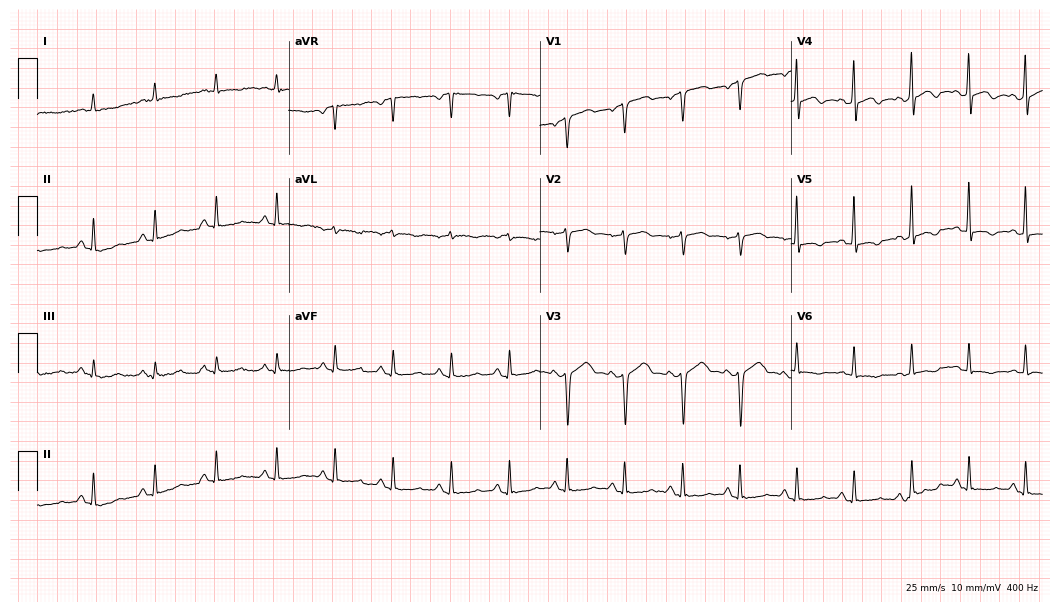
Standard 12-lead ECG recorded from a 79-year-old man. None of these six findings is recorded: first-degree AV block, right bundle branch block, left bundle branch block, sinus bradycardia, atrial fibrillation, sinus tachycardia. Other findings, if any, are not listed.